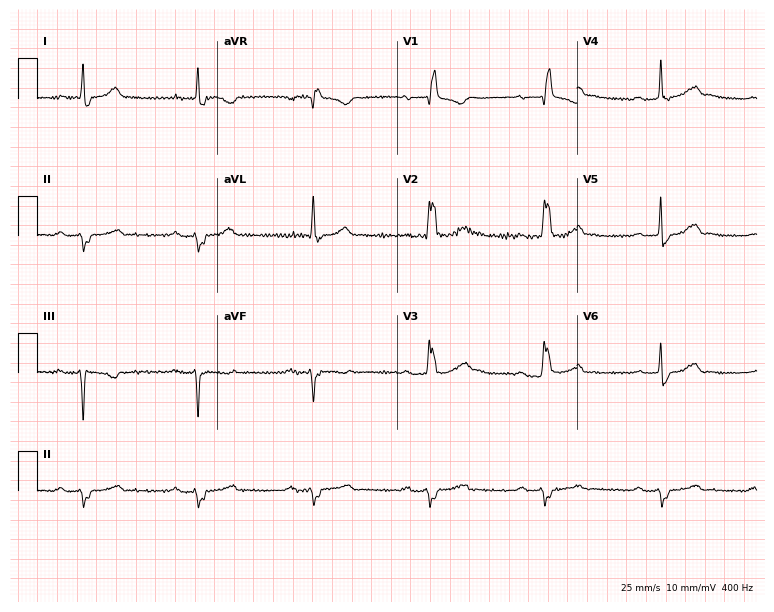
Electrocardiogram, a man, 55 years old. Interpretation includes first-degree AV block, right bundle branch block, sinus bradycardia (a sinus rate of 50 beats per minute or less).